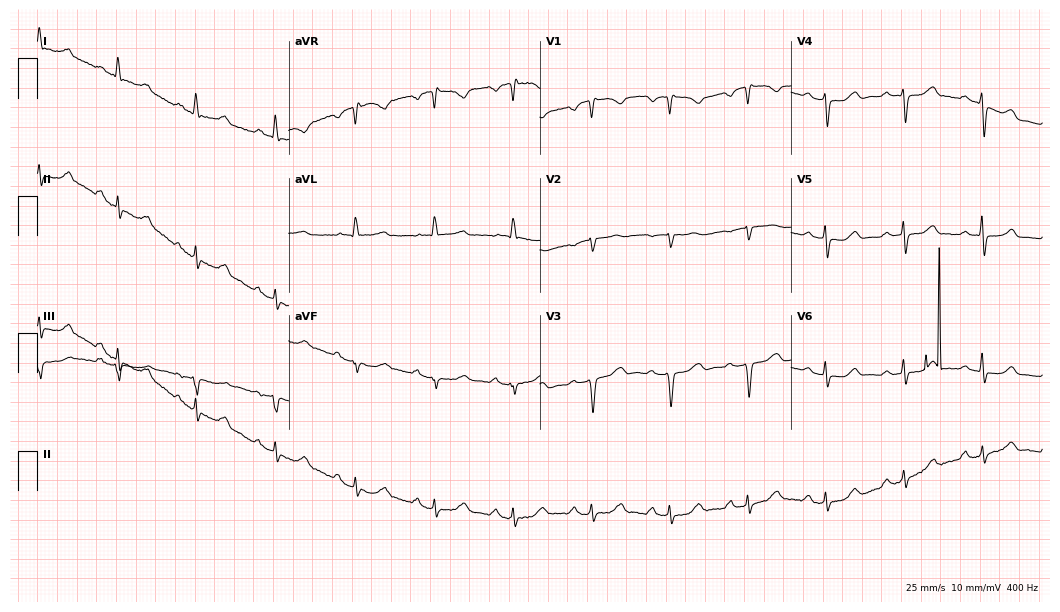
12-lead ECG from a 60-year-old woman. Screened for six findings — first-degree AV block, right bundle branch block (RBBB), left bundle branch block (LBBB), sinus bradycardia, atrial fibrillation (AF), sinus tachycardia — none is recorded.